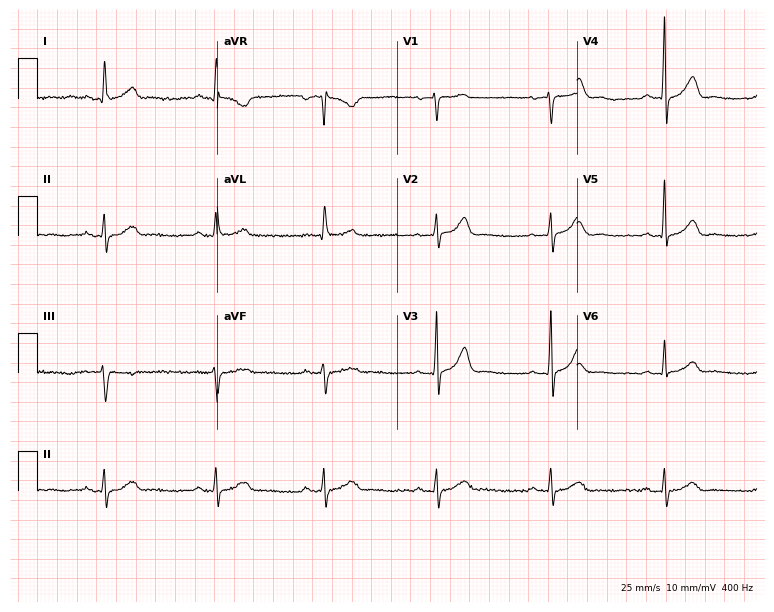
12-lead ECG from a male, 63 years old. Recorded interpretation: within normal limits.